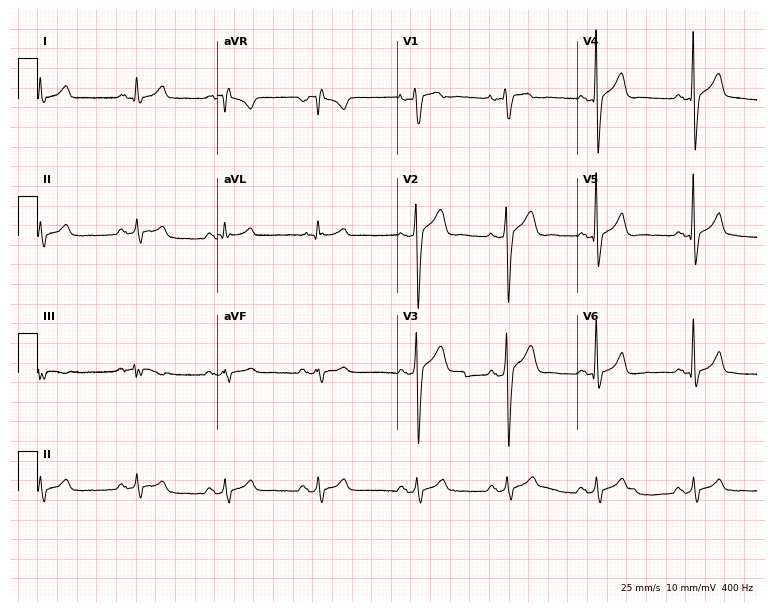
12-lead ECG from a 22-year-old male. Recorded interpretation: within normal limits.